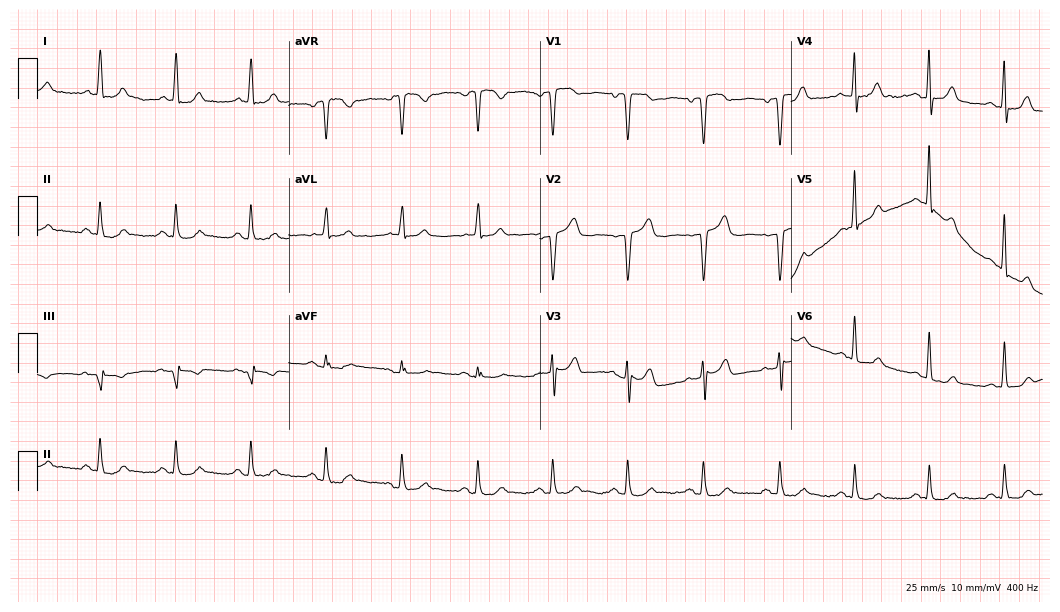
ECG — a 79-year-old woman. Screened for six findings — first-degree AV block, right bundle branch block, left bundle branch block, sinus bradycardia, atrial fibrillation, sinus tachycardia — none is recorded.